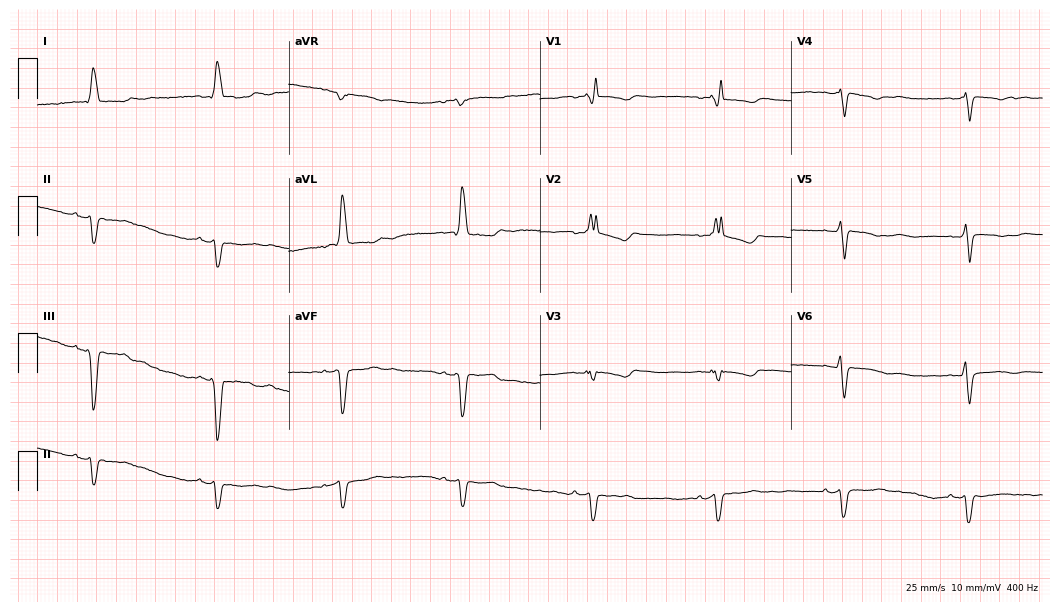
Standard 12-lead ECG recorded from a 61-year-old woman (10.2-second recording at 400 Hz). The tracing shows right bundle branch block, sinus bradycardia (a sinus rate of 50 beats per minute or less).